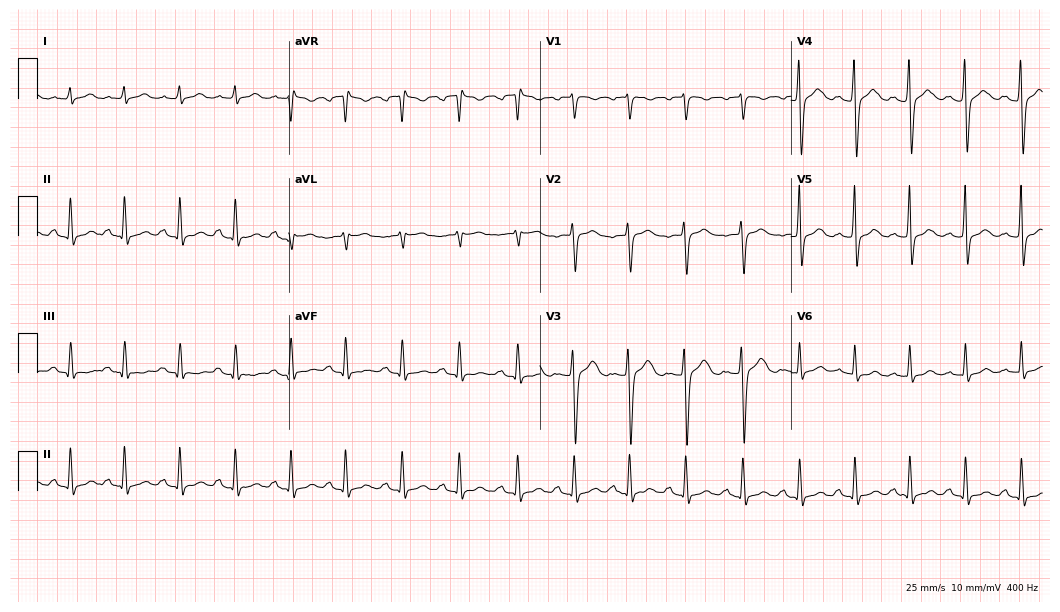
Standard 12-lead ECG recorded from a 23-year-old female (10.2-second recording at 400 Hz). Read as a normal ECG.